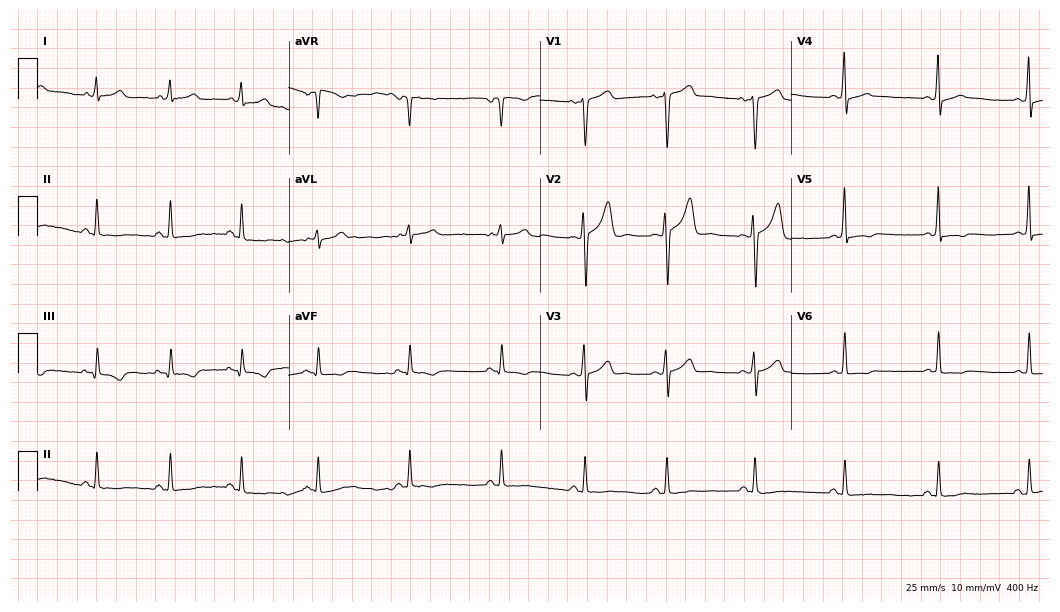
ECG (10.2-second recording at 400 Hz) — a female, 41 years old. Screened for six findings — first-degree AV block, right bundle branch block, left bundle branch block, sinus bradycardia, atrial fibrillation, sinus tachycardia — none is recorded.